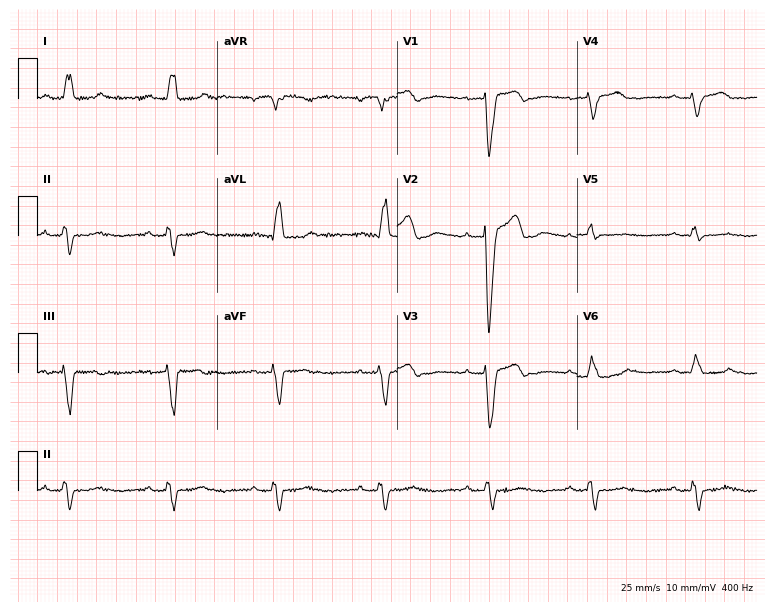
Resting 12-lead electrocardiogram (7.3-second recording at 400 Hz). Patient: a woman, 78 years old. The tracing shows left bundle branch block.